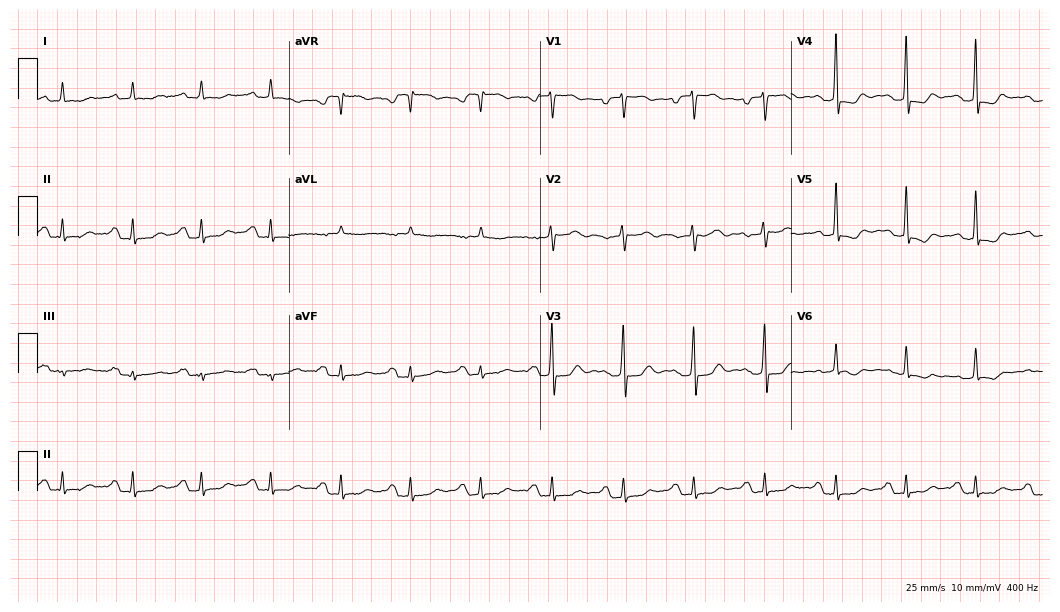
Standard 12-lead ECG recorded from a 64-year-old female patient. None of these six findings is recorded: first-degree AV block, right bundle branch block, left bundle branch block, sinus bradycardia, atrial fibrillation, sinus tachycardia. Only these six findings were labelled.